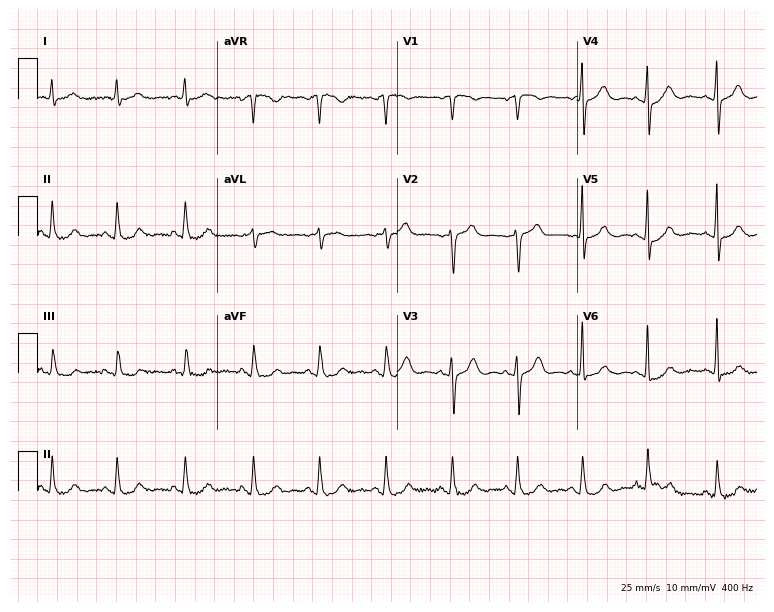
12-lead ECG from a man, 70 years old. Labelled as a normal ECG.